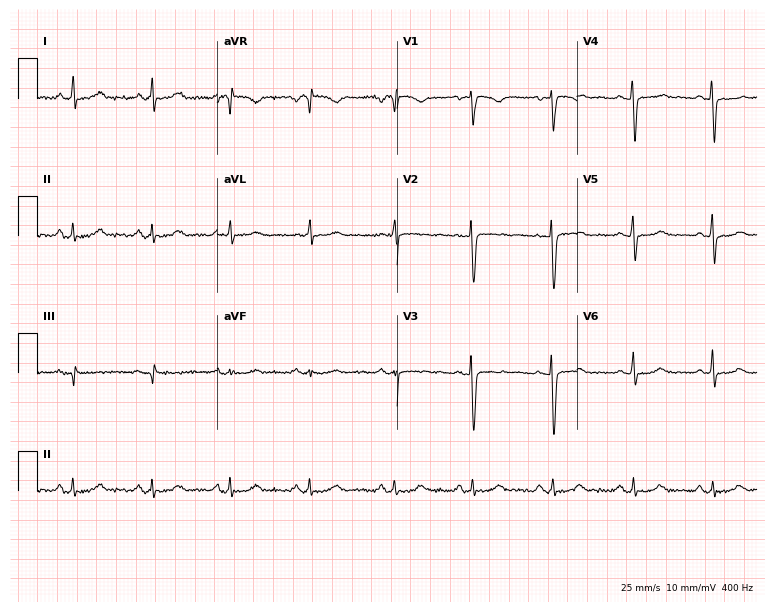
Resting 12-lead electrocardiogram. Patient: a female, 43 years old. None of these six findings is recorded: first-degree AV block, right bundle branch block, left bundle branch block, sinus bradycardia, atrial fibrillation, sinus tachycardia. Other findings, if any, are not listed.